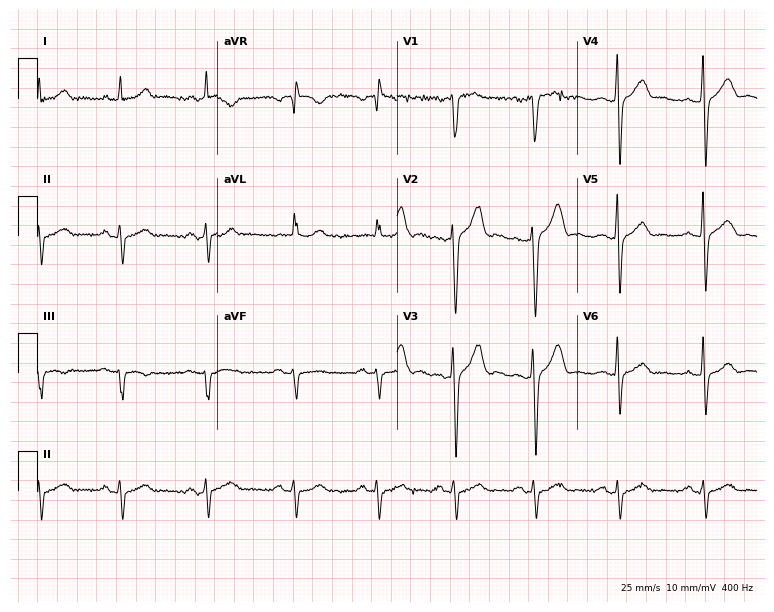
12-lead ECG (7.3-second recording at 400 Hz) from a 48-year-old man. Screened for six findings — first-degree AV block, right bundle branch block, left bundle branch block, sinus bradycardia, atrial fibrillation, sinus tachycardia — none is recorded. Other findings, if any, are not listed.